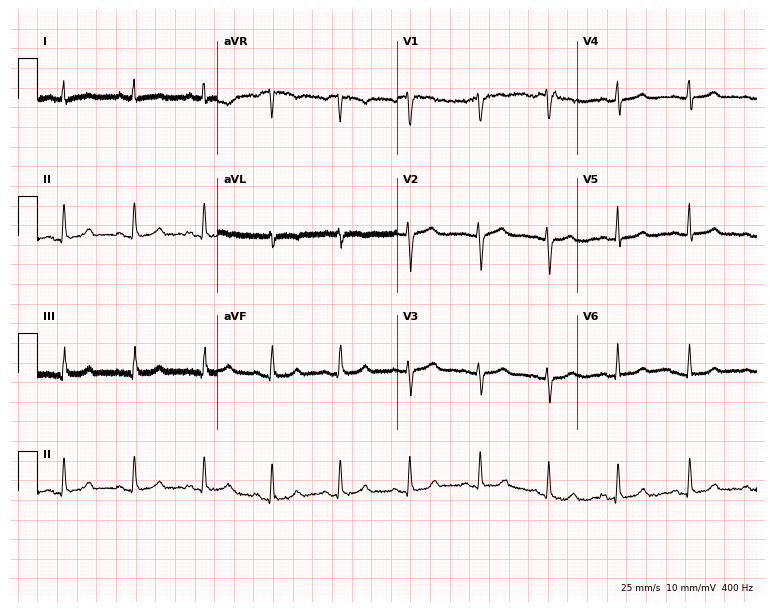
12-lead ECG from a 48-year-old female. No first-degree AV block, right bundle branch block, left bundle branch block, sinus bradycardia, atrial fibrillation or sinus tachycardia recorded for this tracing. Only these six findings were labelled.